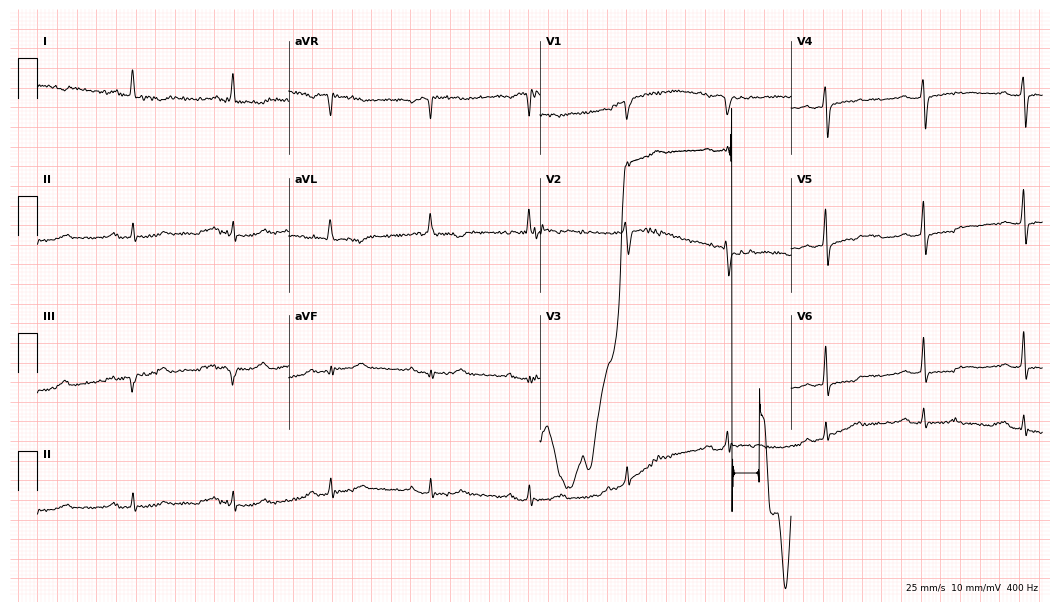
12-lead ECG from a 69-year-old woman. No first-degree AV block, right bundle branch block, left bundle branch block, sinus bradycardia, atrial fibrillation or sinus tachycardia recorded for this tracing. Findings outside these six are not listed.